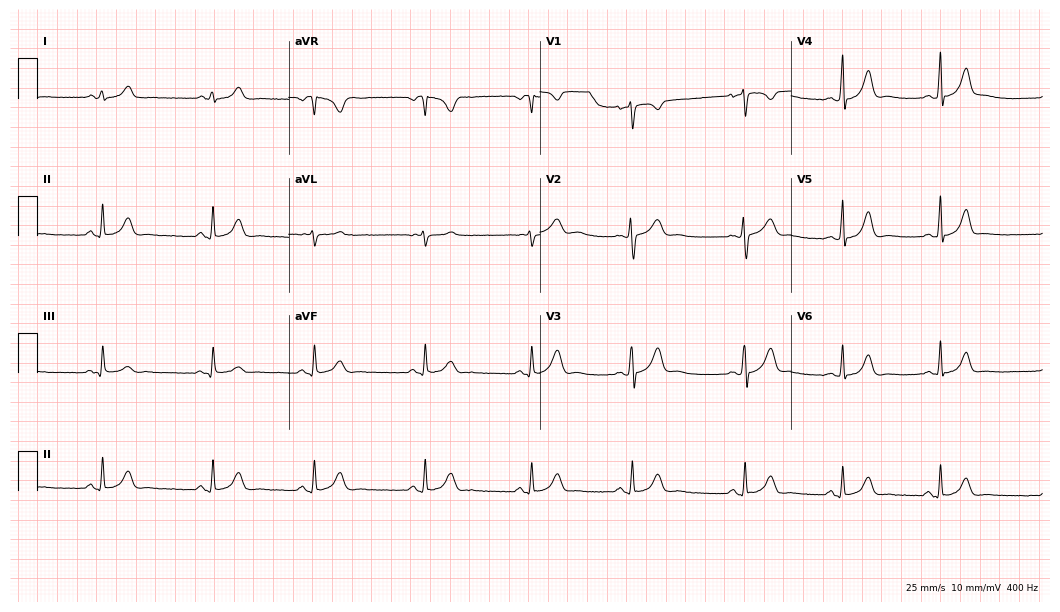
Resting 12-lead electrocardiogram. Patient: a 21-year-old woman. None of these six findings is recorded: first-degree AV block, right bundle branch block, left bundle branch block, sinus bradycardia, atrial fibrillation, sinus tachycardia.